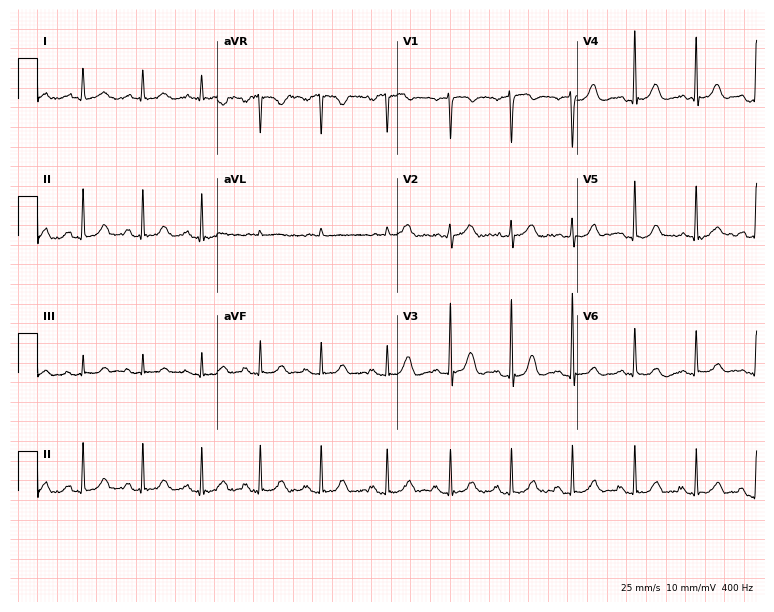
Electrocardiogram (7.3-second recording at 400 Hz), a female patient, 52 years old. Overall reading on record: normal ECG.